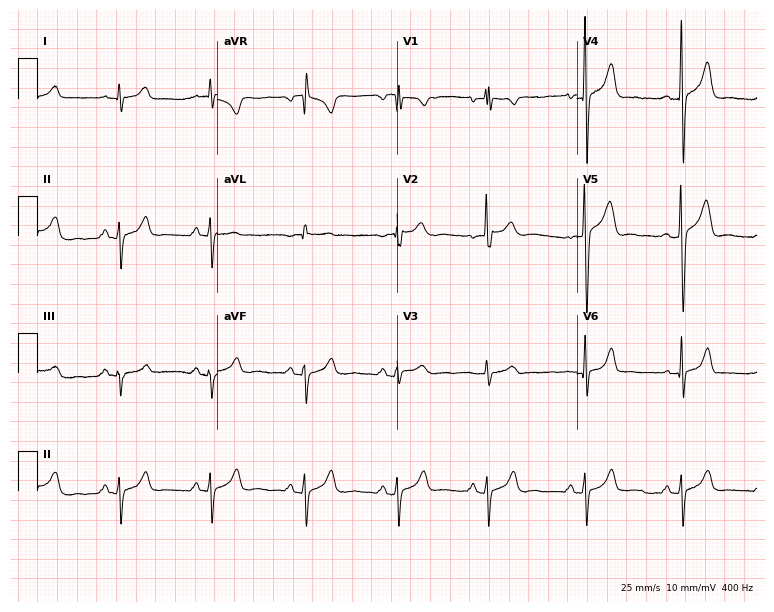
12-lead ECG (7.3-second recording at 400 Hz) from a 23-year-old male. Screened for six findings — first-degree AV block, right bundle branch block, left bundle branch block, sinus bradycardia, atrial fibrillation, sinus tachycardia — none is recorded.